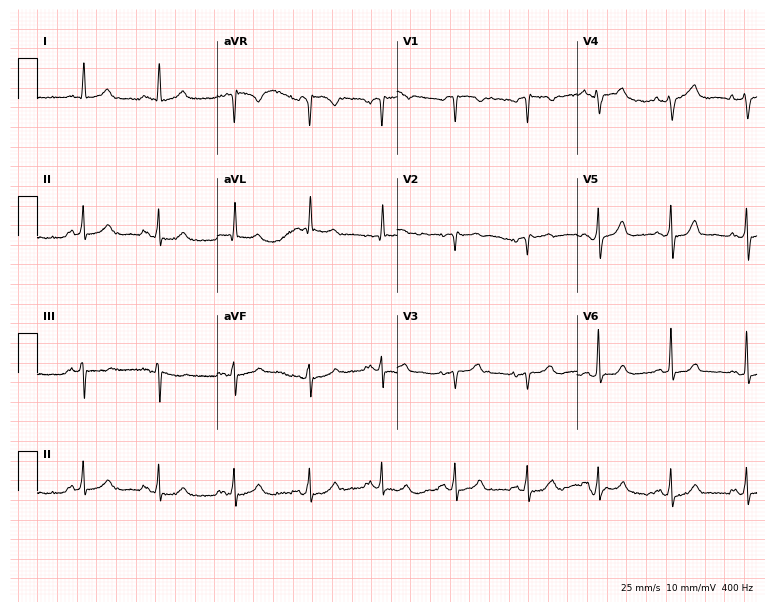
Electrocardiogram, a 70-year-old man. Of the six screened findings (first-degree AV block, right bundle branch block, left bundle branch block, sinus bradycardia, atrial fibrillation, sinus tachycardia), none is recorded. Other findings, if any, are not listed.